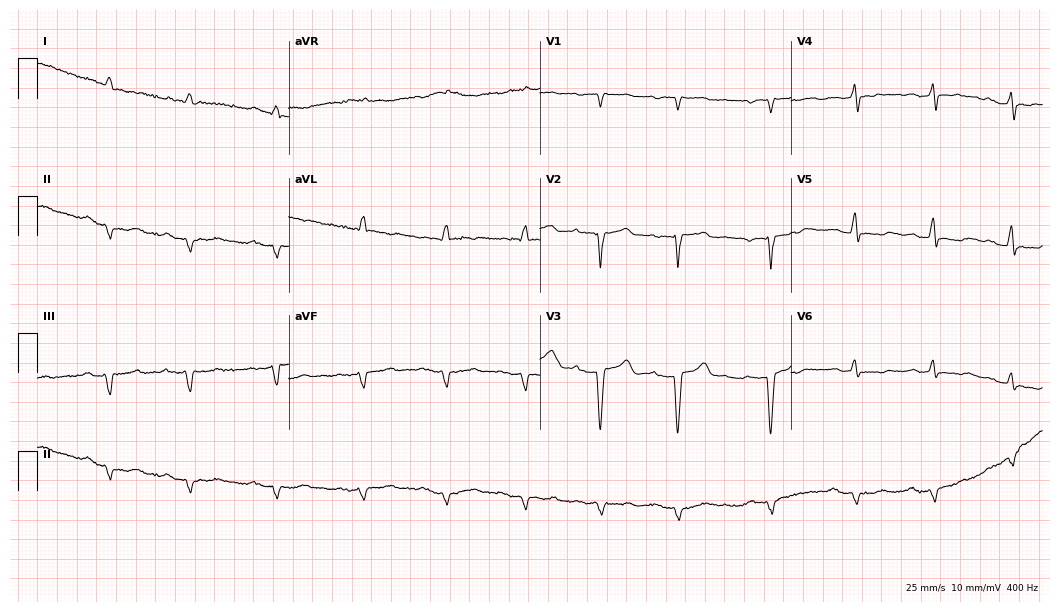
12-lead ECG from a male patient, 65 years old (10.2-second recording at 400 Hz). No first-degree AV block, right bundle branch block, left bundle branch block, sinus bradycardia, atrial fibrillation or sinus tachycardia recorded for this tracing.